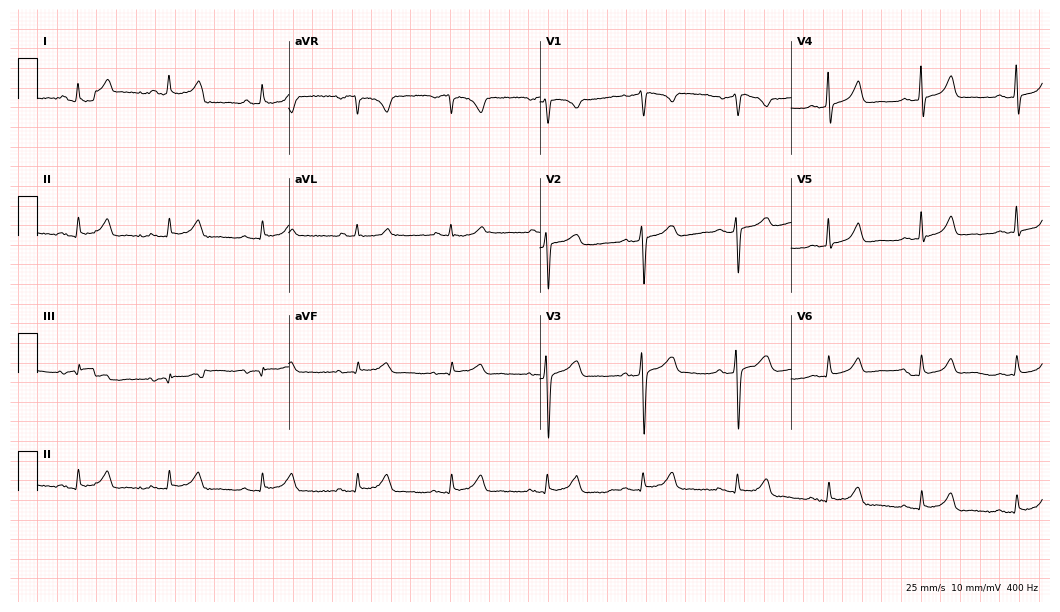
Resting 12-lead electrocardiogram. Patient: a female, 67 years old. None of these six findings is recorded: first-degree AV block, right bundle branch block, left bundle branch block, sinus bradycardia, atrial fibrillation, sinus tachycardia. Findings outside these six are not listed.